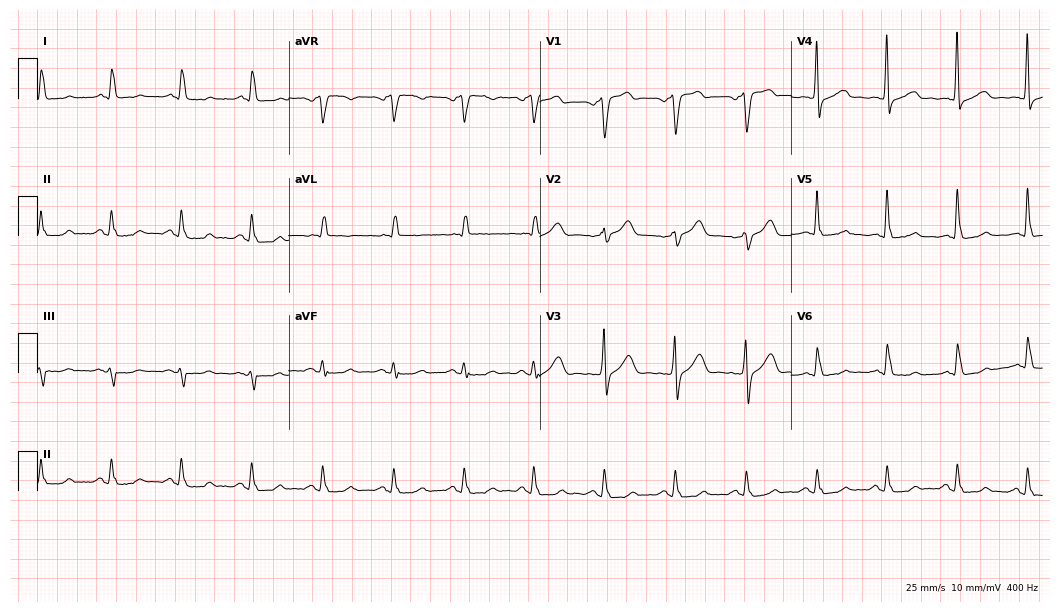
ECG (10.2-second recording at 400 Hz) — a 77-year-old male patient. Screened for six findings — first-degree AV block, right bundle branch block, left bundle branch block, sinus bradycardia, atrial fibrillation, sinus tachycardia — none is recorded.